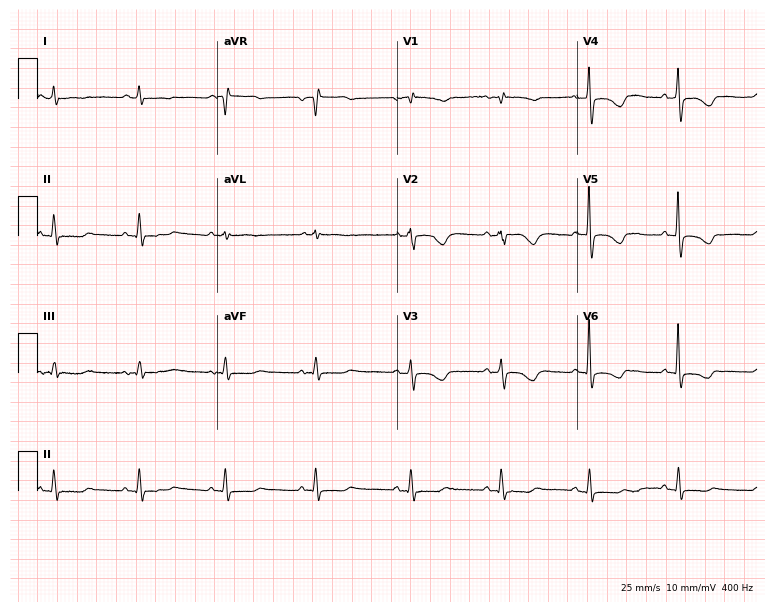
Resting 12-lead electrocardiogram. Patient: a 58-year-old woman. None of these six findings is recorded: first-degree AV block, right bundle branch block (RBBB), left bundle branch block (LBBB), sinus bradycardia, atrial fibrillation (AF), sinus tachycardia. Only these six findings were labelled.